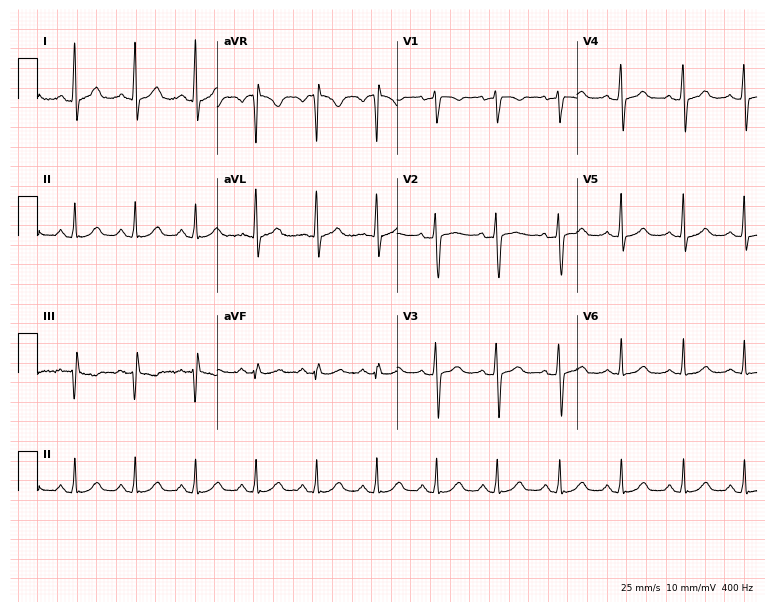
12-lead ECG (7.3-second recording at 400 Hz) from a female, 50 years old. Screened for six findings — first-degree AV block, right bundle branch block (RBBB), left bundle branch block (LBBB), sinus bradycardia, atrial fibrillation (AF), sinus tachycardia — none is recorded. Only these six findings were labelled.